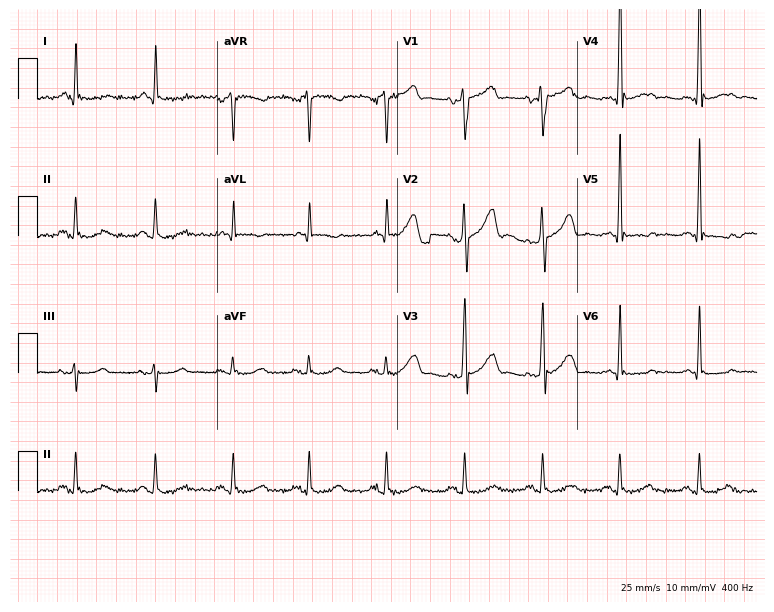
12-lead ECG from a male patient, 63 years old. Screened for six findings — first-degree AV block, right bundle branch block, left bundle branch block, sinus bradycardia, atrial fibrillation, sinus tachycardia — none is recorded.